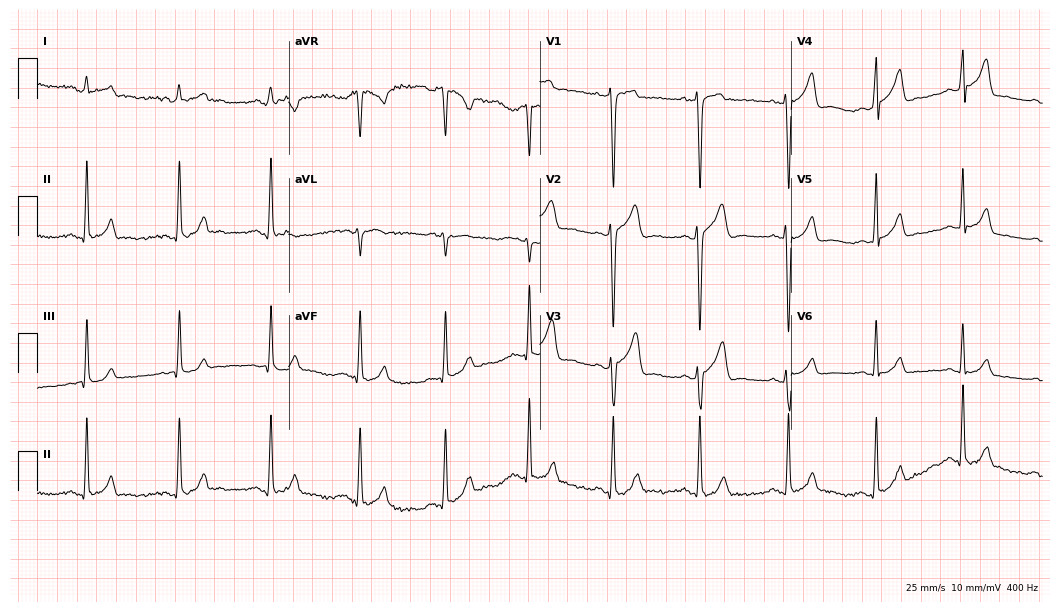
12-lead ECG from a 29-year-old male. Labelled as a normal ECG.